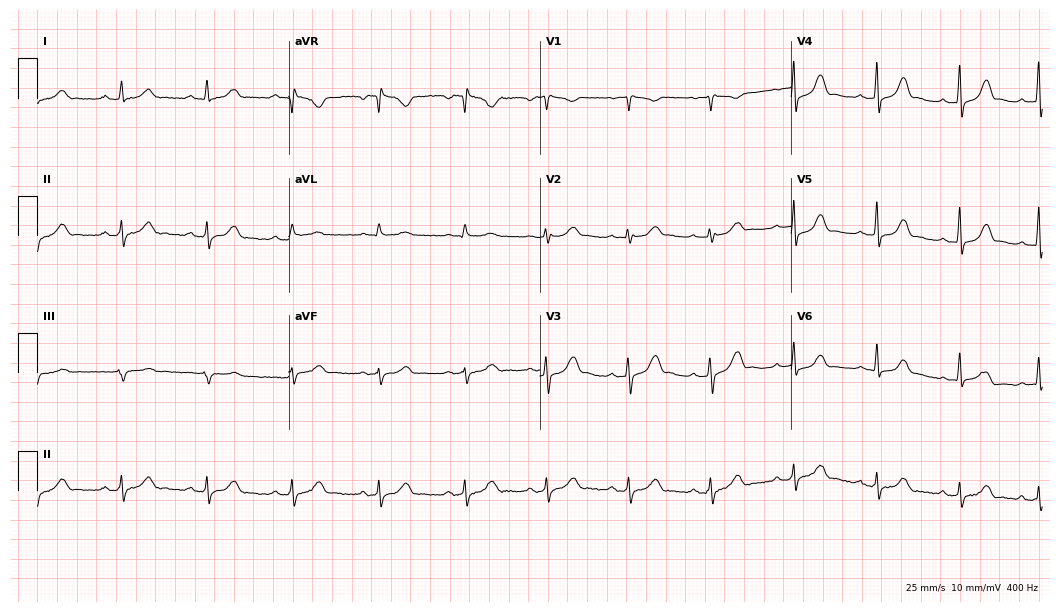
12-lead ECG (10.2-second recording at 400 Hz) from a 33-year-old woman. Screened for six findings — first-degree AV block, right bundle branch block (RBBB), left bundle branch block (LBBB), sinus bradycardia, atrial fibrillation (AF), sinus tachycardia — none is recorded. Other findings, if any, are not listed.